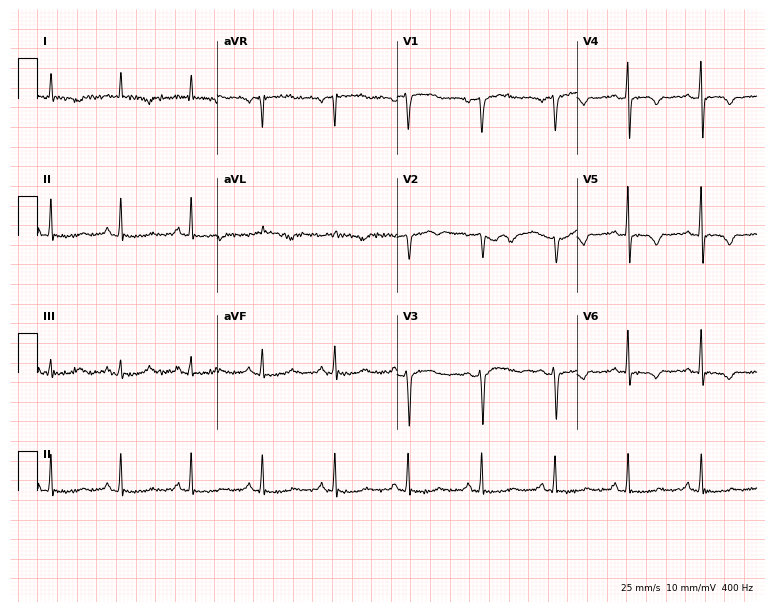
Resting 12-lead electrocardiogram. Patient: a female, 61 years old. None of these six findings is recorded: first-degree AV block, right bundle branch block, left bundle branch block, sinus bradycardia, atrial fibrillation, sinus tachycardia.